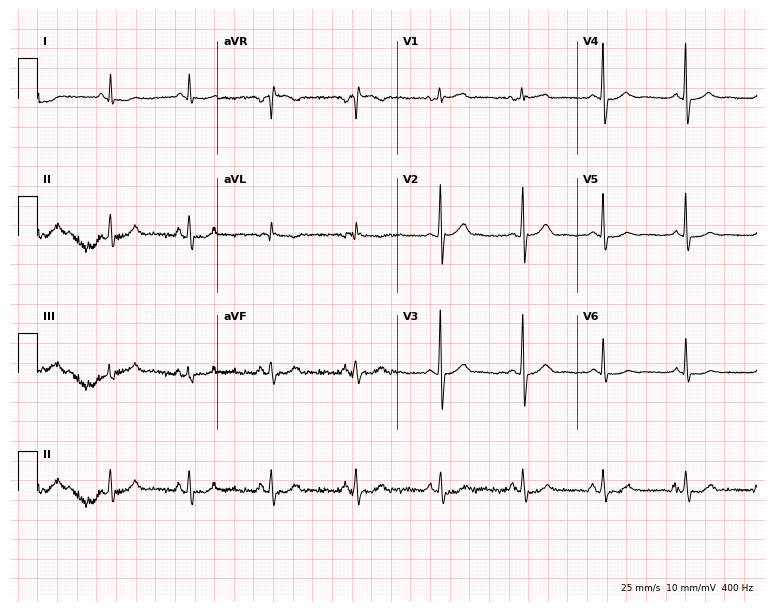
Resting 12-lead electrocardiogram (7.3-second recording at 400 Hz). Patient: a 75-year-old man. Read as a normal ECG.